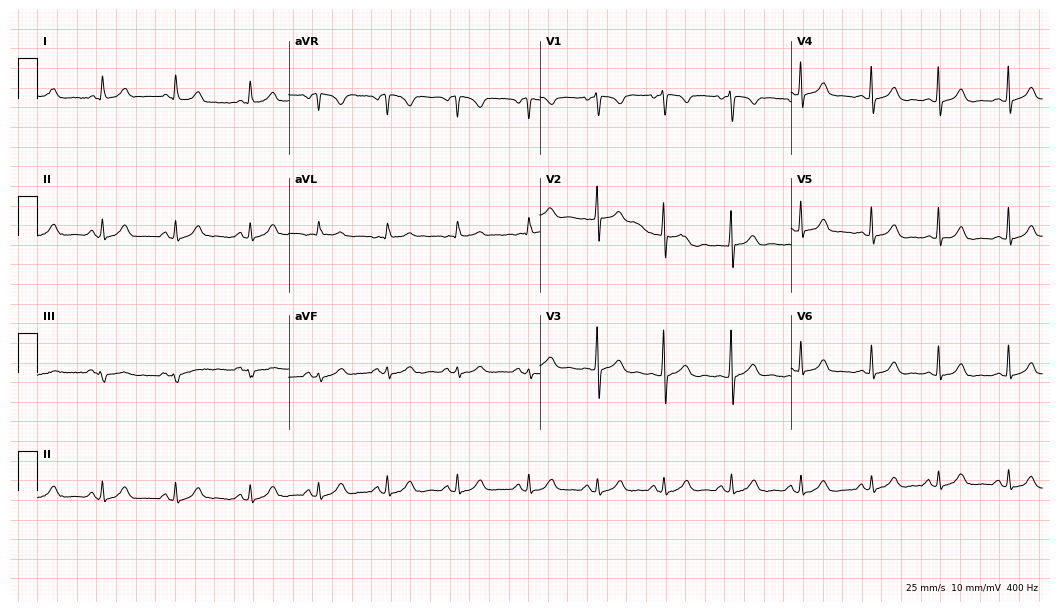
12-lead ECG from a female patient, 29 years old. Labelled as a normal ECG.